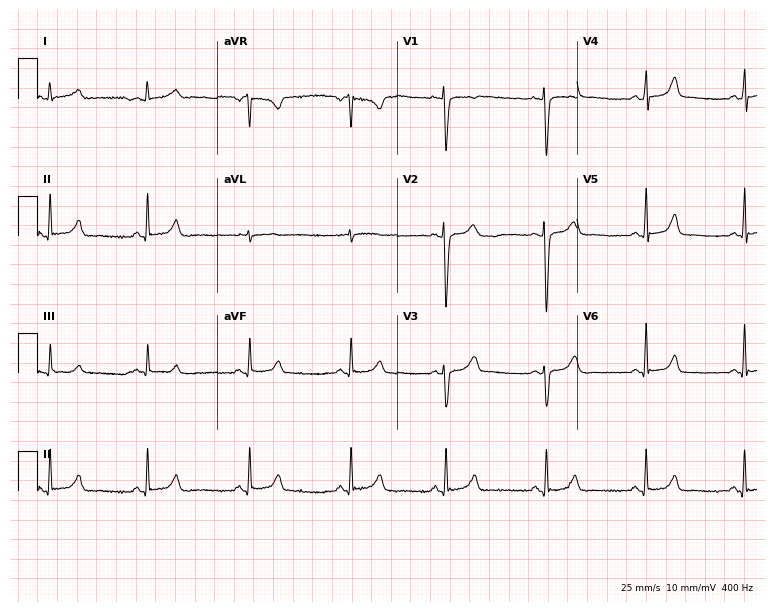
Standard 12-lead ECG recorded from a female patient, 35 years old (7.3-second recording at 400 Hz). None of these six findings is recorded: first-degree AV block, right bundle branch block (RBBB), left bundle branch block (LBBB), sinus bradycardia, atrial fibrillation (AF), sinus tachycardia.